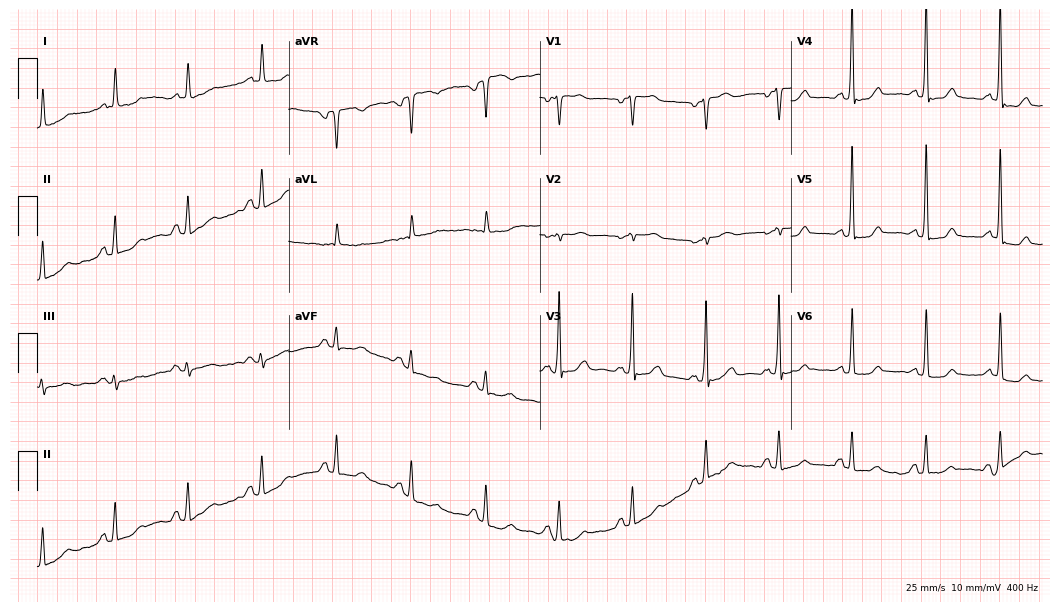
Electrocardiogram, a female patient, 67 years old. Of the six screened findings (first-degree AV block, right bundle branch block, left bundle branch block, sinus bradycardia, atrial fibrillation, sinus tachycardia), none is recorded.